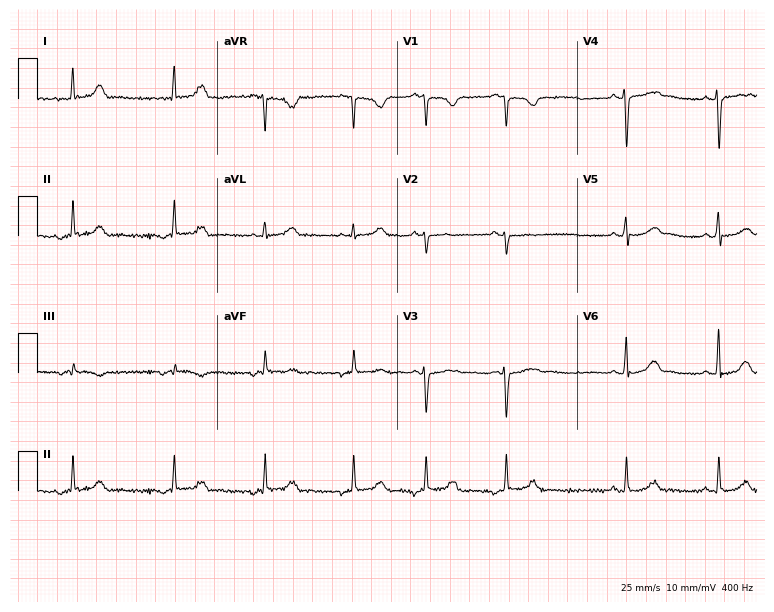
Resting 12-lead electrocardiogram (7.3-second recording at 400 Hz). Patient: a female, 18 years old. Read as a normal ECG.